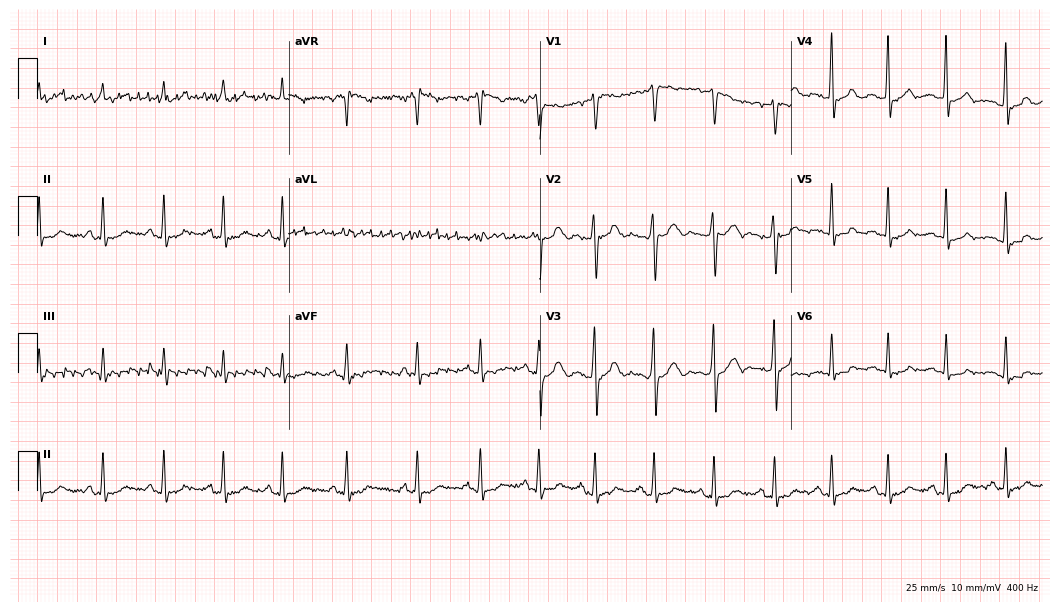
12-lead ECG from a woman, 38 years old. No first-degree AV block, right bundle branch block, left bundle branch block, sinus bradycardia, atrial fibrillation or sinus tachycardia recorded for this tracing.